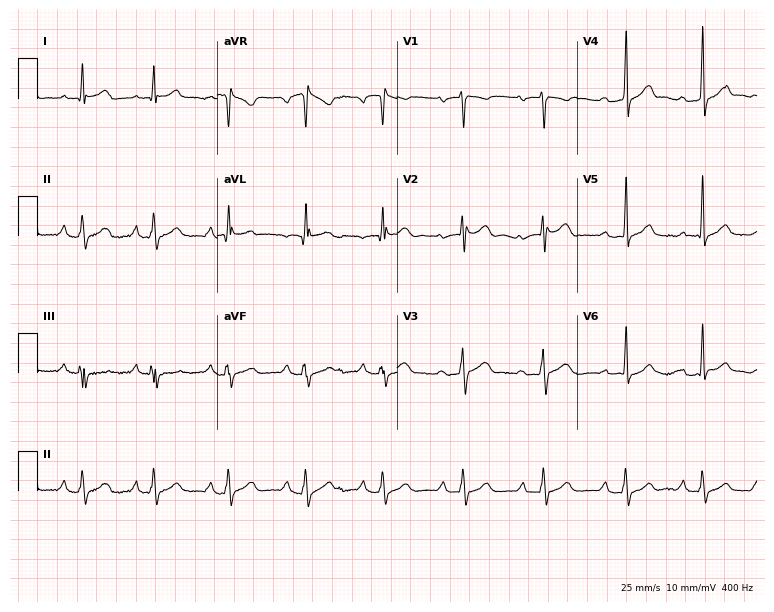
ECG — a man, 33 years old. Labelled as a normal ECG.